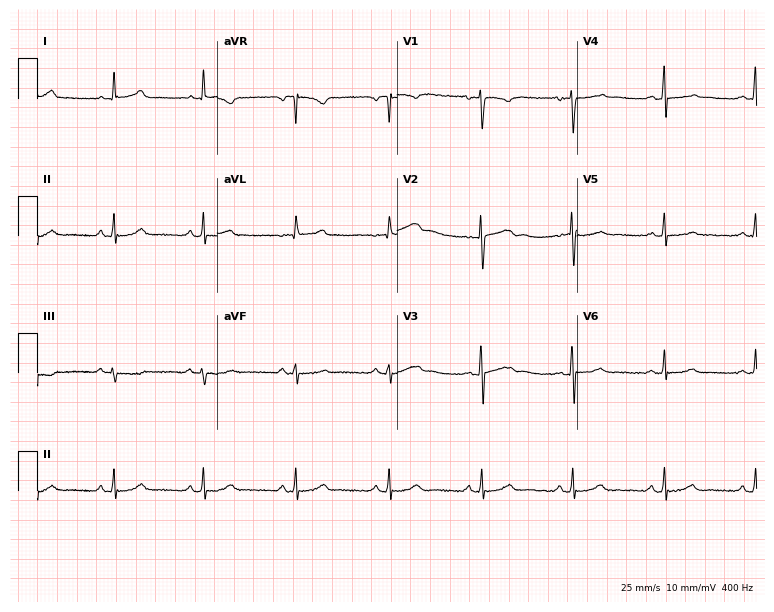
Electrocardiogram (7.3-second recording at 400 Hz), a 33-year-old female patient. Overall reading on record: normal ECG.